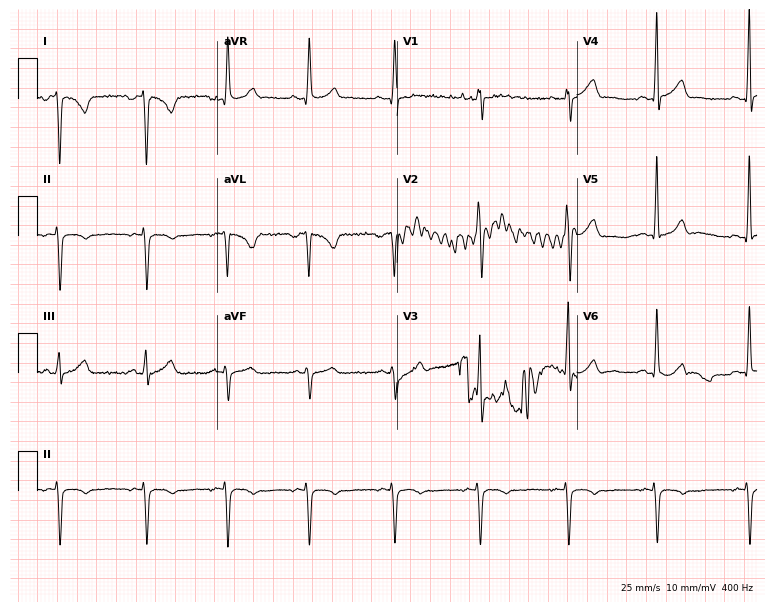
ECG — a 31-year-old male. Screened for six findings — first-degree AV block, right bundle branch block, left bundle branch block, sinus bradycardia, atrial fibrillation, sinus tachycardia — none is recorded. Other findings, if any, are not listed.